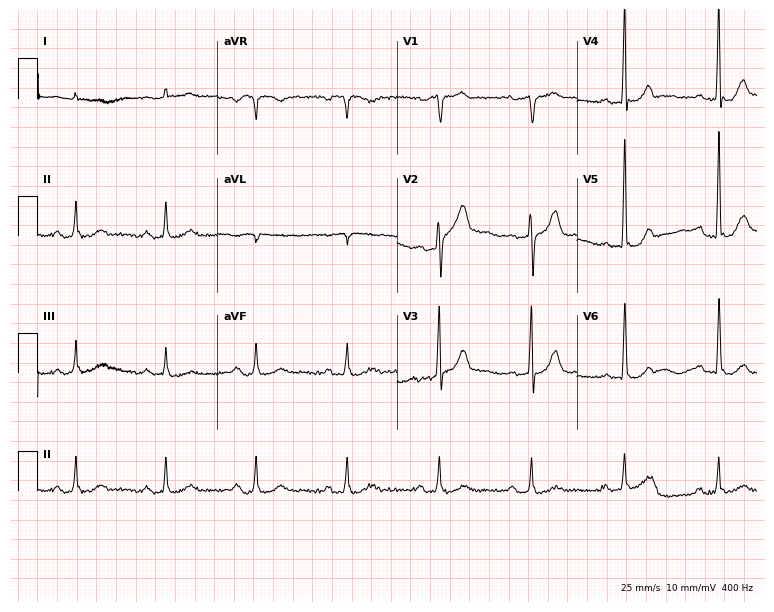
ECG — a 74-year-old male patient. Screened for six findings — first-degree AV block, right bundle branch block (RBBB), left bundle branch block (LBBB), sinus bradycardia, atrial fibrillation (AF), sinus tachycardia — none is recorded.